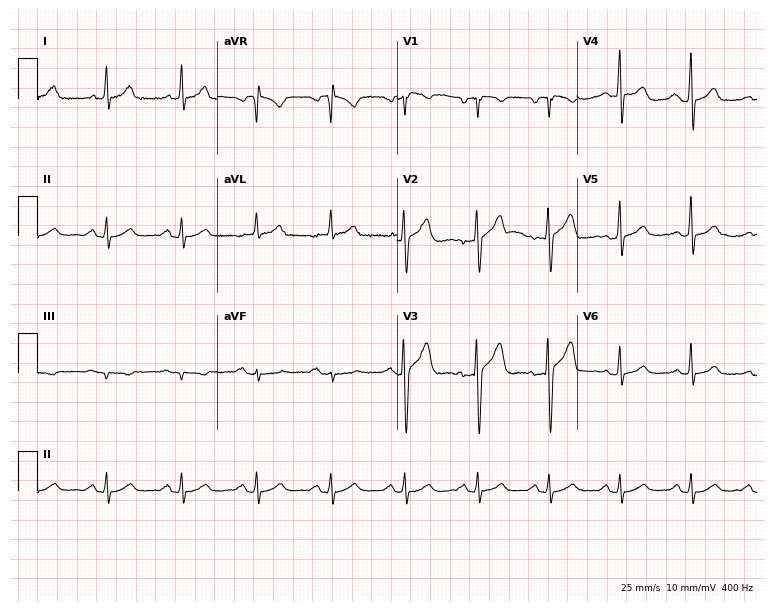
Resting 12-lead electrocardiogram. Patient: a man, 52 years old. None of these six findings is recorded: first-degree AV block, right bundle branch block (RBBB), left bundle branch block (LBBB), sinus bradycardia, atrial fibrillation (AF), sinus tachycardia. Only these six findings were labelled.